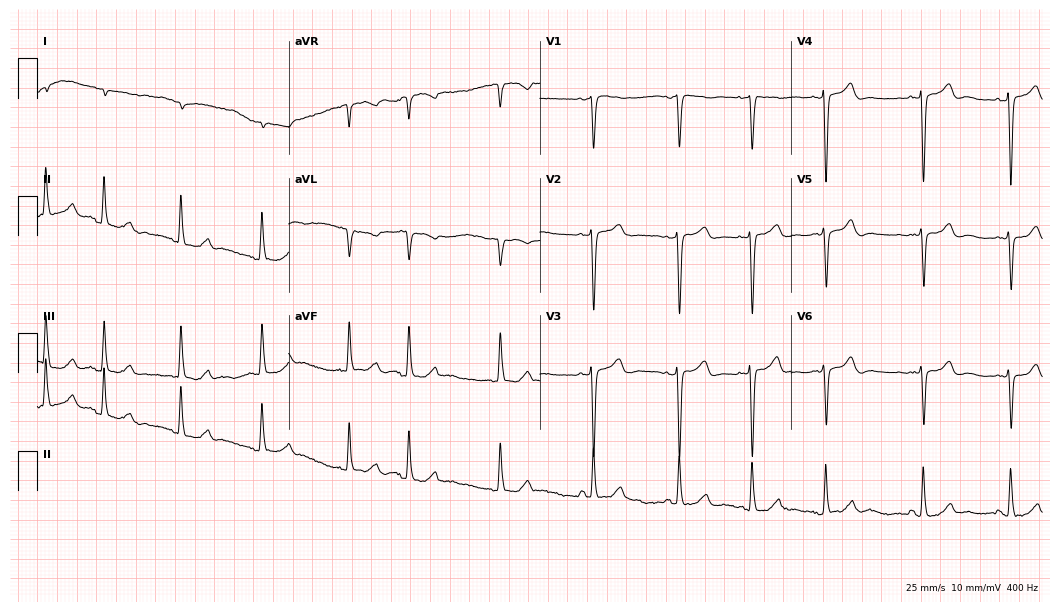
Electrocardiogram, an 82-year-old man. Of the six screened findings (first-degree AV block, right bundle branch block (RBBB), left bundle branch block (LBBB), sinus bradycardia, atrial fibrillation (AF), sinus tachycardia), none is recorded. Other findings, if any, are not listed.